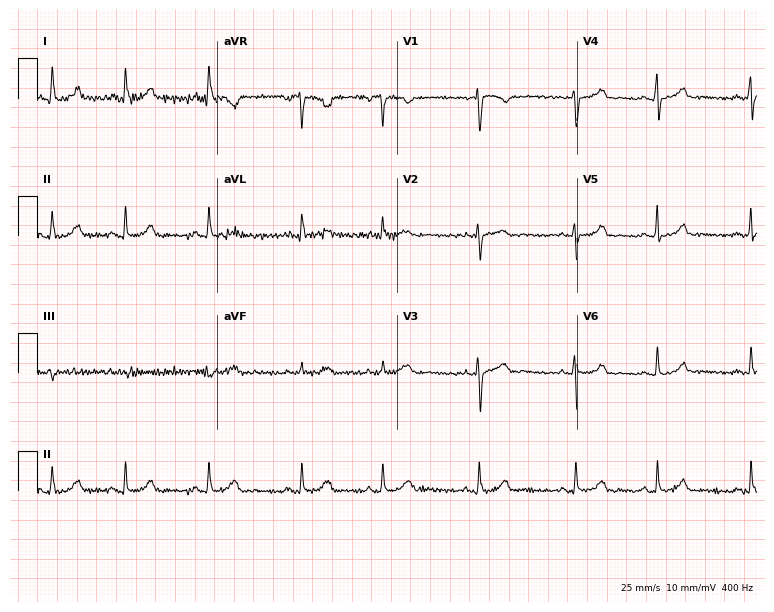
Electrocardiogram (7.3-second recording at 400 Hz), a female, 29 years old. Overall reading on record: normal ECG.